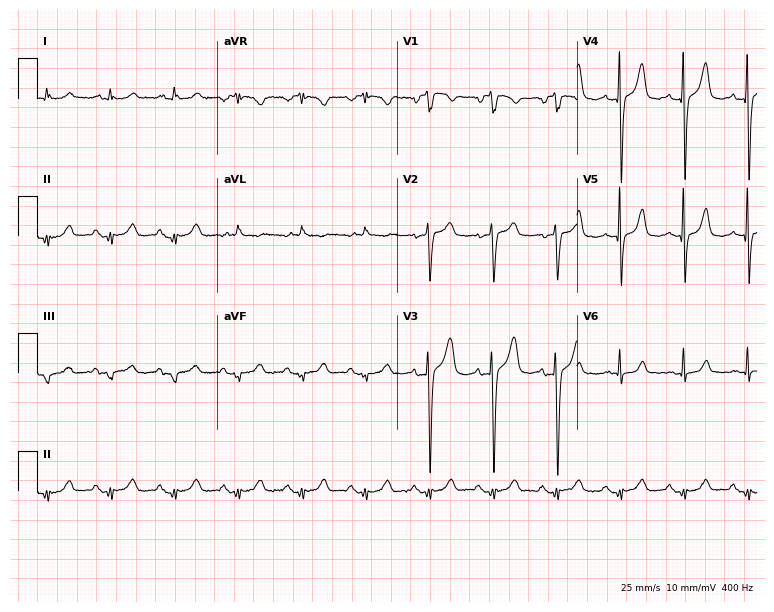
12-lead ECG from a woman, 79 years old. No first-degree AV block, right bundle branch block (RBBB), left bundle branch block (LBBB), sinus bradycardia, atrial fibrillation (AF) or sinus tachycardia recorded for this tracing. Only these six findings were labelled.